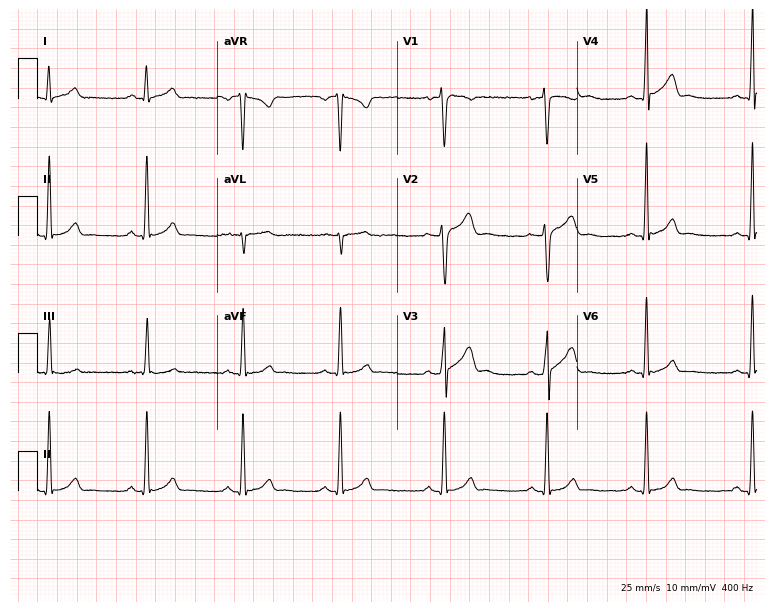
Electrocardiogram, a man, 22 years old. Overall reading on record: normal ECG.